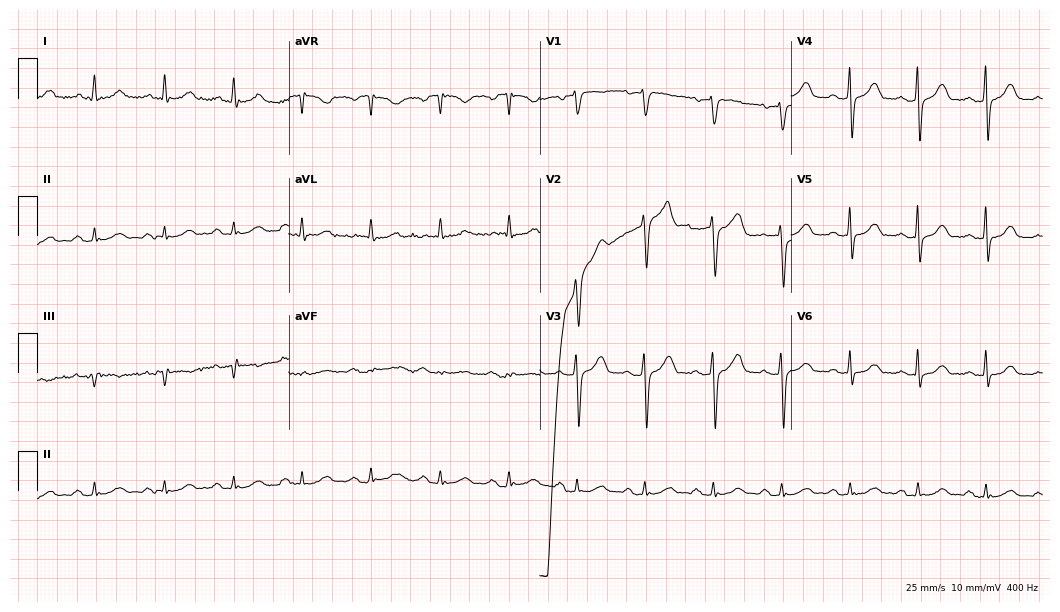
Resting 12-lead electrocardiogram (10.2-second recording at 400 Hz). Patient: a male, 65 years old. Read as a normal ECG.